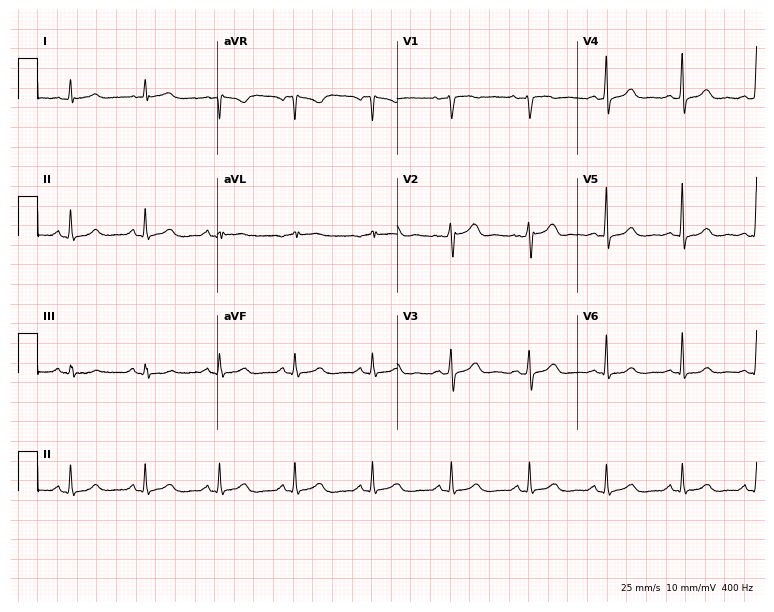
12-lead ECG from a female patient, 58 years old. Recorded interpretation: within normal limits.